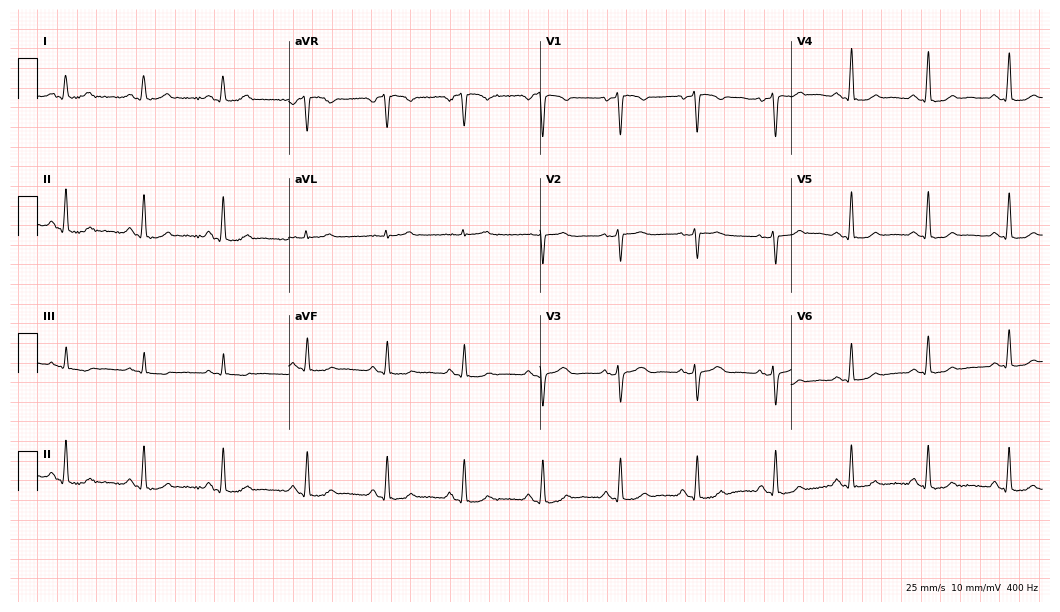
12-lead ECG (10.2-second recording at 400 Hz) from a female, 49 years old. Labelled as a normal ECG.